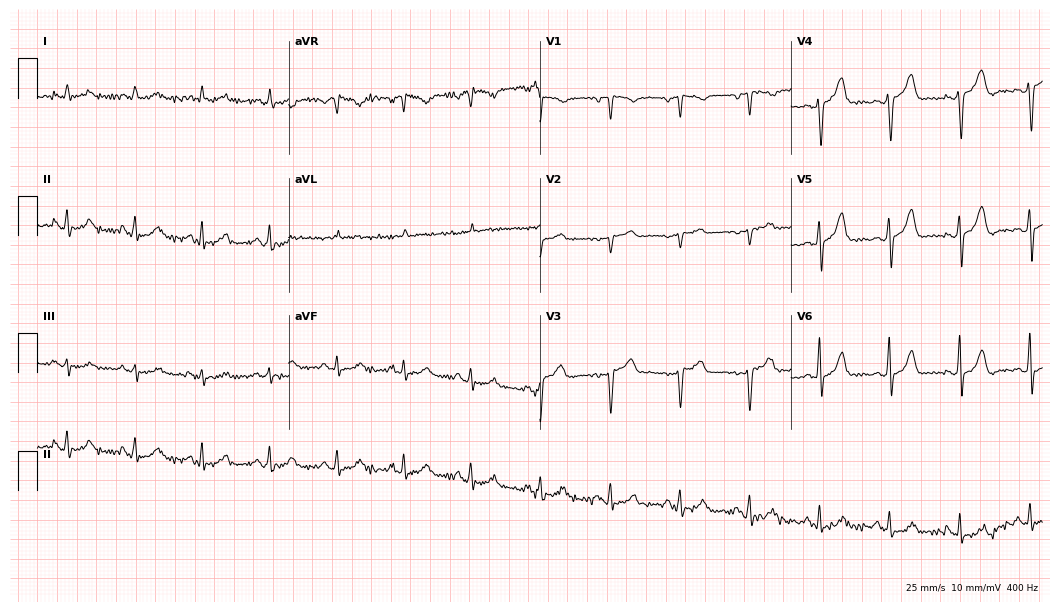
12-lead ECG (10.2-second recording at 400 Hz) from an 81-year-old woman. Screened for six findings — first-degree AV block, right bundle branch block, left bundle branch block, sinus bradycardia, atrial fibrillation, sinus tachycardia — none is recorded. Findings outside these six are not listed.